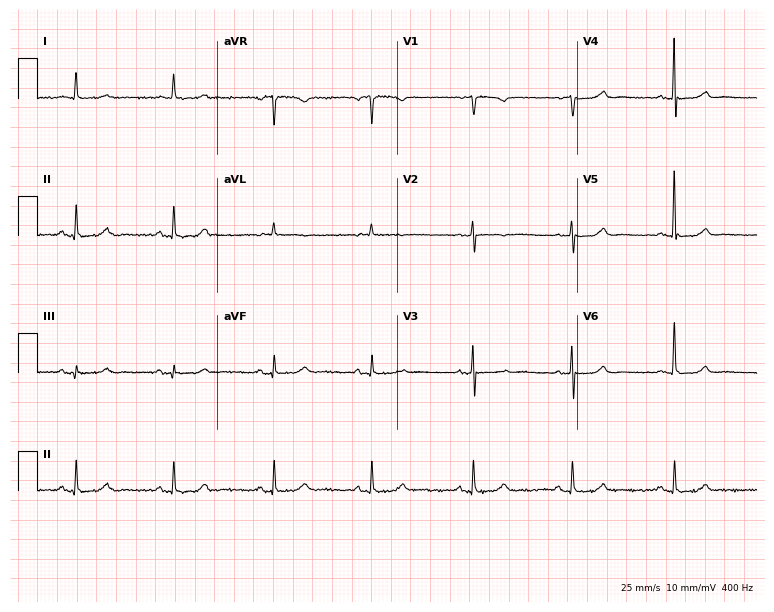
12-lead ECG from an 82-year-old female. Screened for six findings — first-degree AV block, right bundle branch block, left bundle branch block, sinus bradycardia, atrial fibrillation, sinus tachycardia — none is recorded.